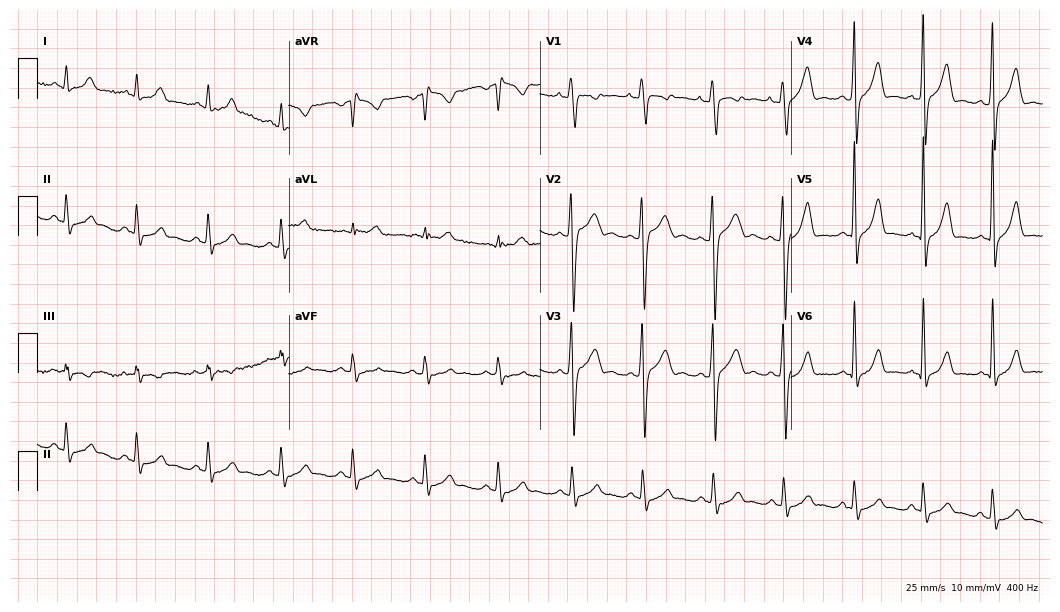
ECG — a man, 20 years old. Screened for six findings — first-degree AV block, right bundle branch block (RBBB), left bundle branch block (LBBB), sinus bradycardia, atrial fibrillation (AF), sinus tachycardia — none is recorded.